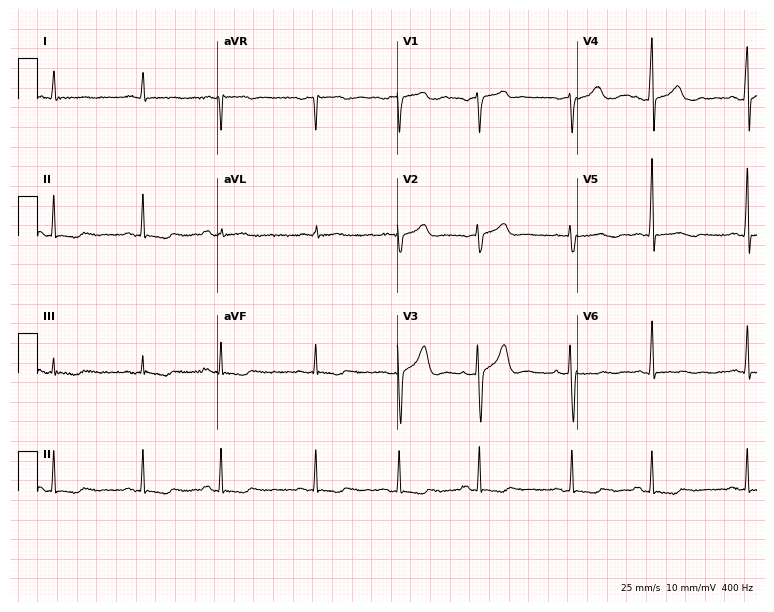
12-lead ECG from a 65-year-old male patient (7.3-second recording at 400 Hz). No first-degree AV block, right bundle branch block, left bundle branch block, sinus bradycardia, atrial fibrillation or sinus tachycardia recorded for this tracing. Findings outside these six are not listed.